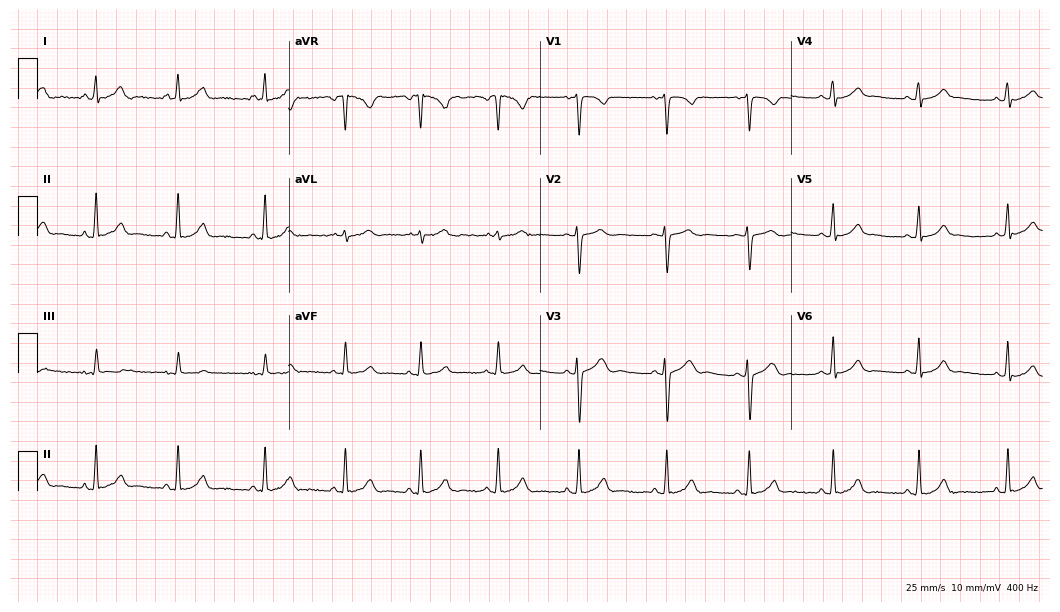
12-lead ECG from a 22-year-old woman (10.2-second recording at 400 Hz). No first-degree AV block, right bundle branch block, left bundle branch block, sinus bradycardia, atrial fibrillation or sinus tachycardia recorded for this tracing. Findings outside these six are not listed.